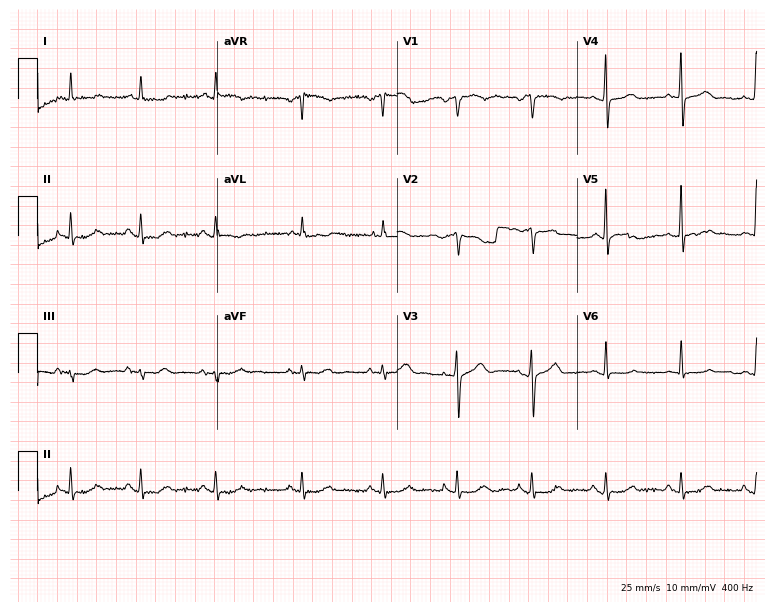
Resting 12-lead electrocardiogram. Patient: a 79-year-old male. None of these six findings is recorded: first-degree AV block, right bundle branch block, left bundle branch block, sinus bradycardia, atrial fibrillation, sinus tachycardia.